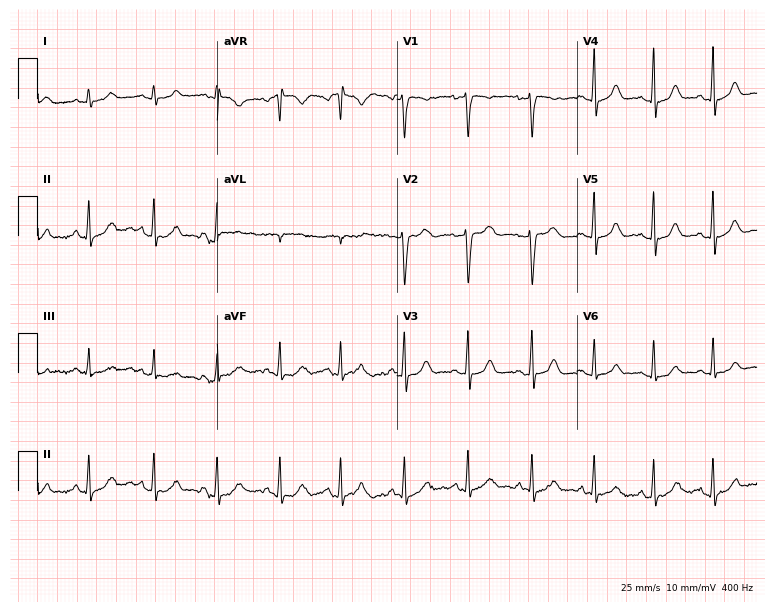
12-lead ECG from an 18-year-old female. Screened for six findings — first-degree AV block, right bundle branch block, left bundle branch block, sinus bradycardia, atrial fibrillation, sinus tachycardia — none is recorded.